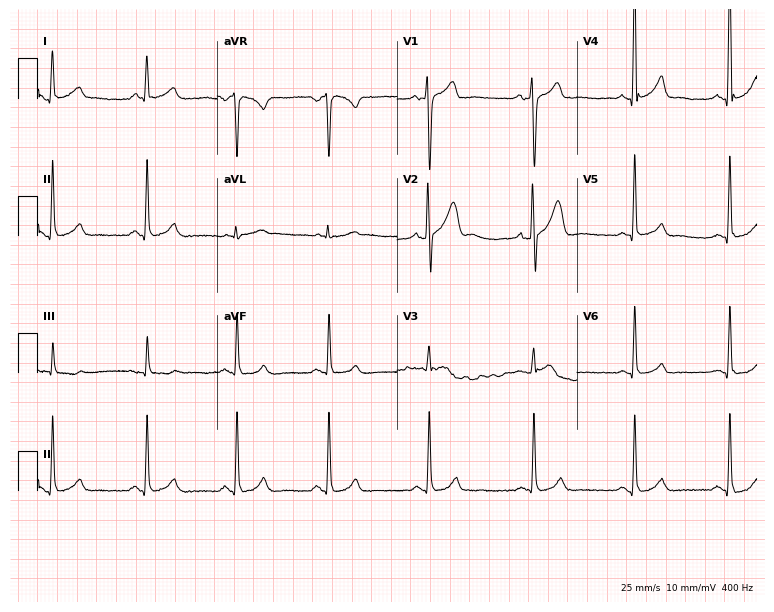
Electrocardiogram, a male patient, 40 years old. Overall reading on record: normal ECG.